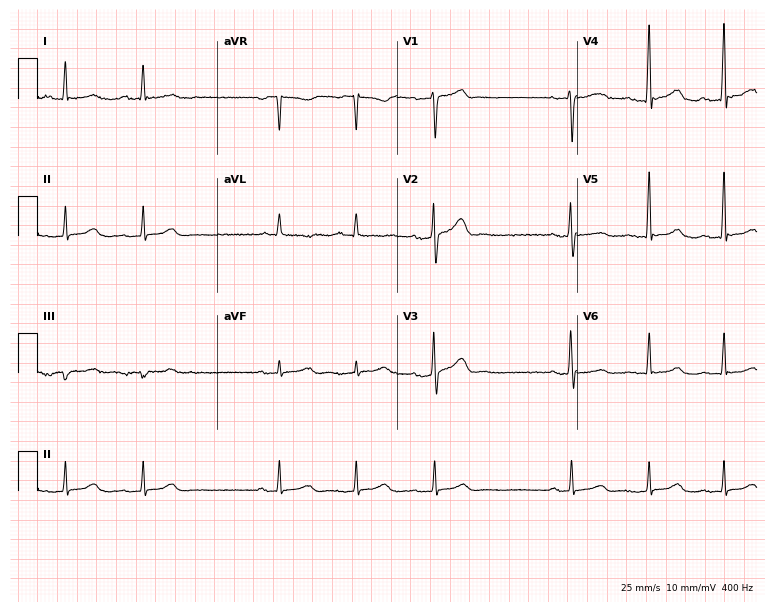
12-lead ECG (7.3-second recording at 400 Hz) from a male patient, 62 years old. Screened for six findings — first-degree AV block, right bundle branch block, left bundle branch block, sinus bradycardia, atrial fibrillation, sinus tachycardia — none is recorded.